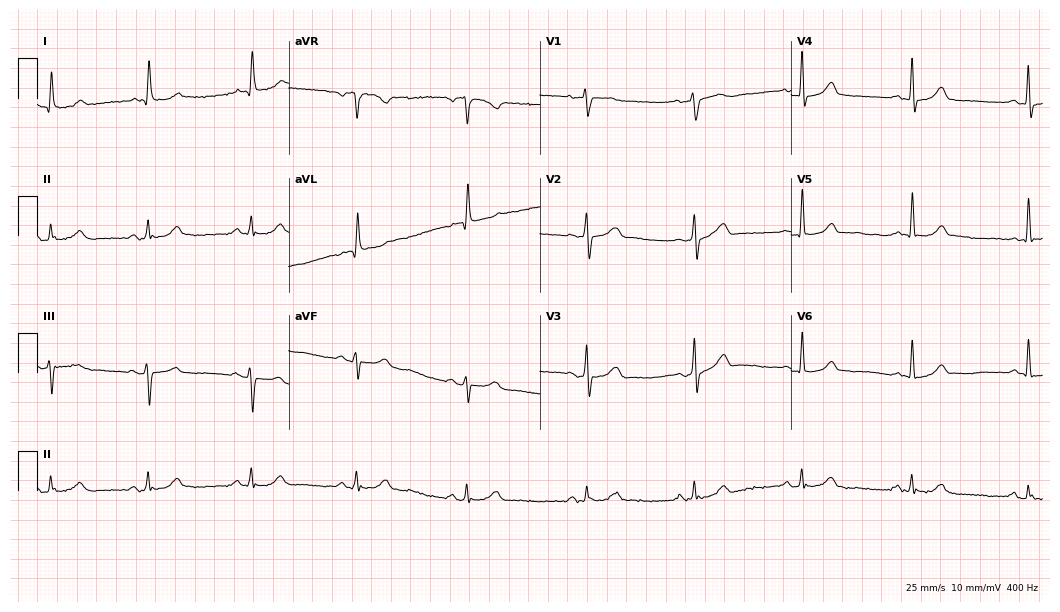
Resting 12-lead electrocardiogram. Patient: a 67-year-old male. Read as a normal ECG.